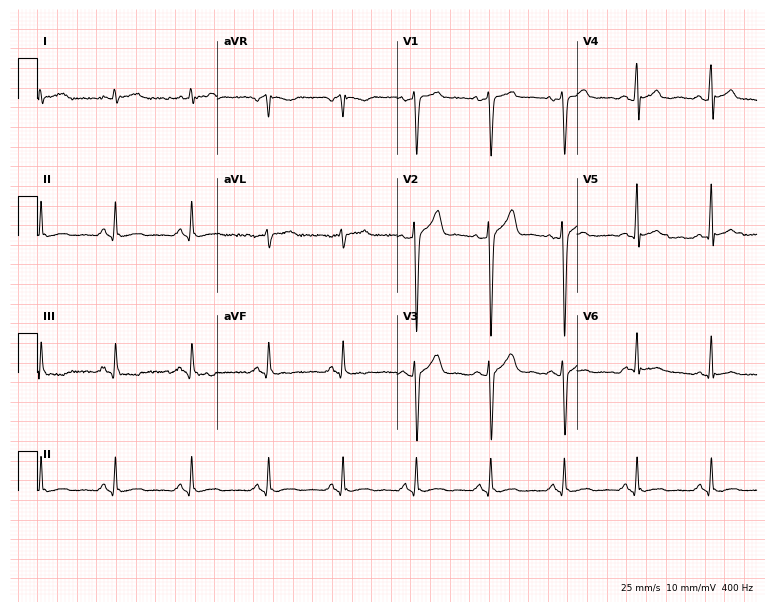
12-lead ECG from a male, 30 years old. No first-degree AV block, right bundle branch block, left bundle branch block, sinus bradycardia, atrial fibrillation or sinus tachycardia recorded for this tracing.